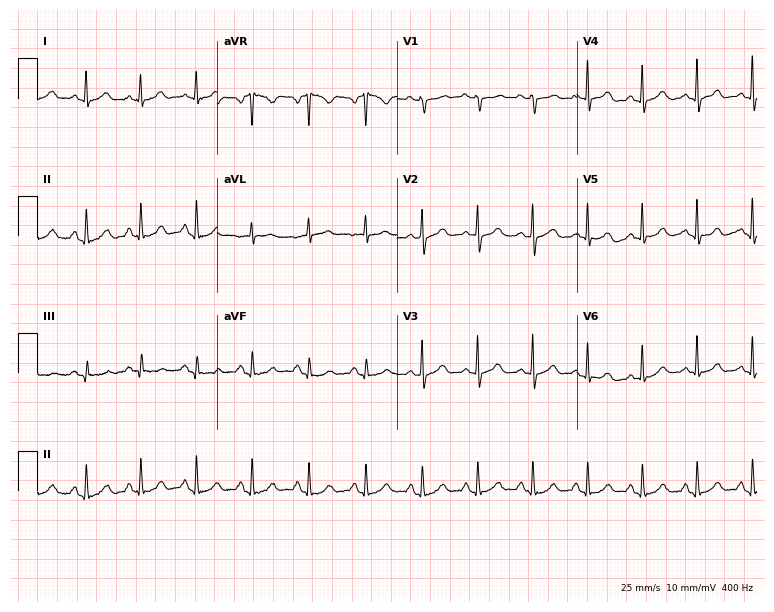
Electrocardiogram (7.3-second recording at 400 Hz), a woman, 51 years old. Interpretation includes sinus tachycardia (a sinus rate of 100 beats per minute or more).